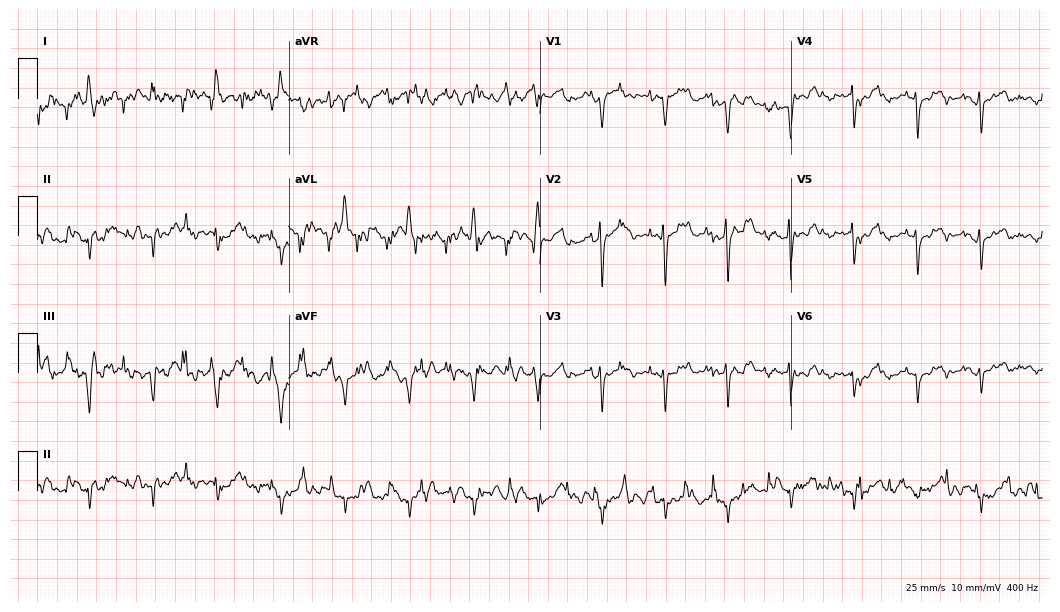
Standard 12-lead ECG recorded from a female, 82 years old (10.2-second recording at 400 Hz). None of these six findings is recorded: first-degree AV block, right bundle branch block, left bundle branch block, sinus bradycardia, atrial fibrillation, sinus tachycardia. Findings outside these six are not listed.